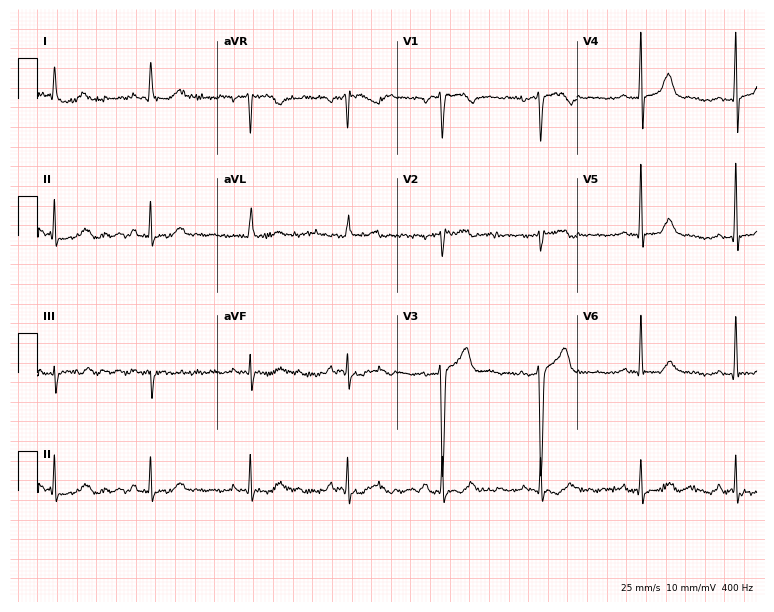
Standard 12-lead ECG recorded from a 55-year-old man. None of these six findings is recorded: first-degree AV block, right bundle branch block, left bundle branch block, sinus bradycardia, atrial fibrillation, sinus tachycardia.